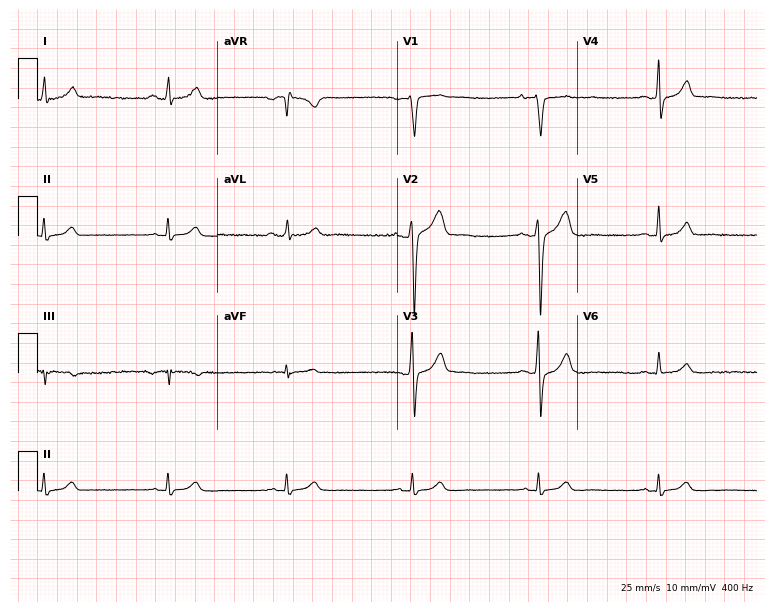
12-lead ECG from a 29-year-old woman. Labelled as a normal ECG.